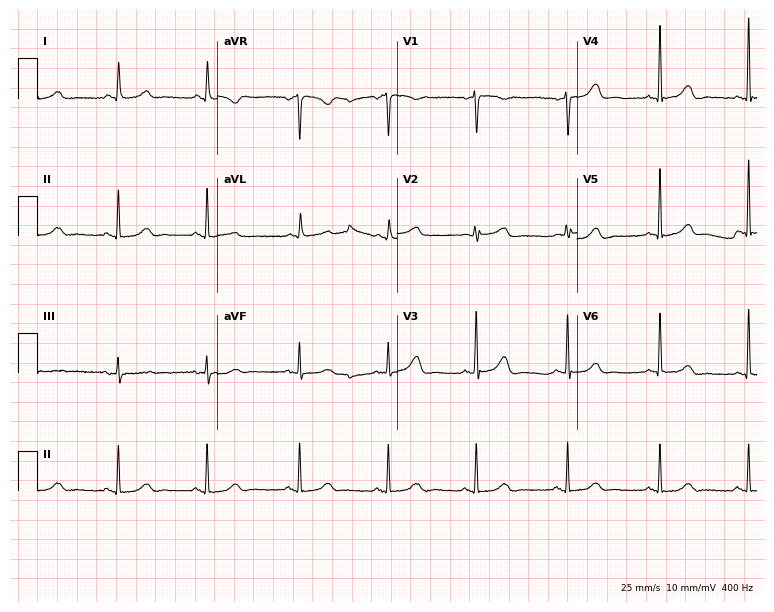
12-lead ECG from an 86-year-old woman. Labelled as a normal ECG.